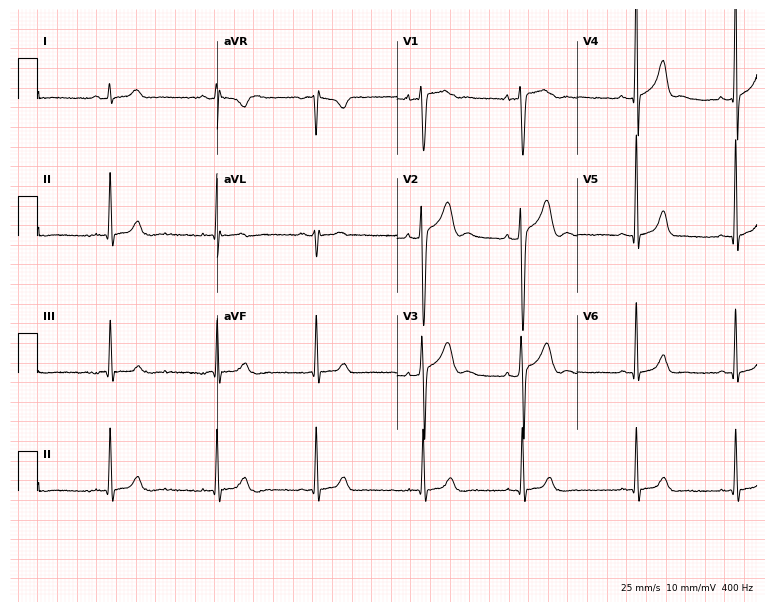
12-lead ECG (7.3-second recording at 400 Hz) from a man, 74 years old. Labelled as a normal ECG.